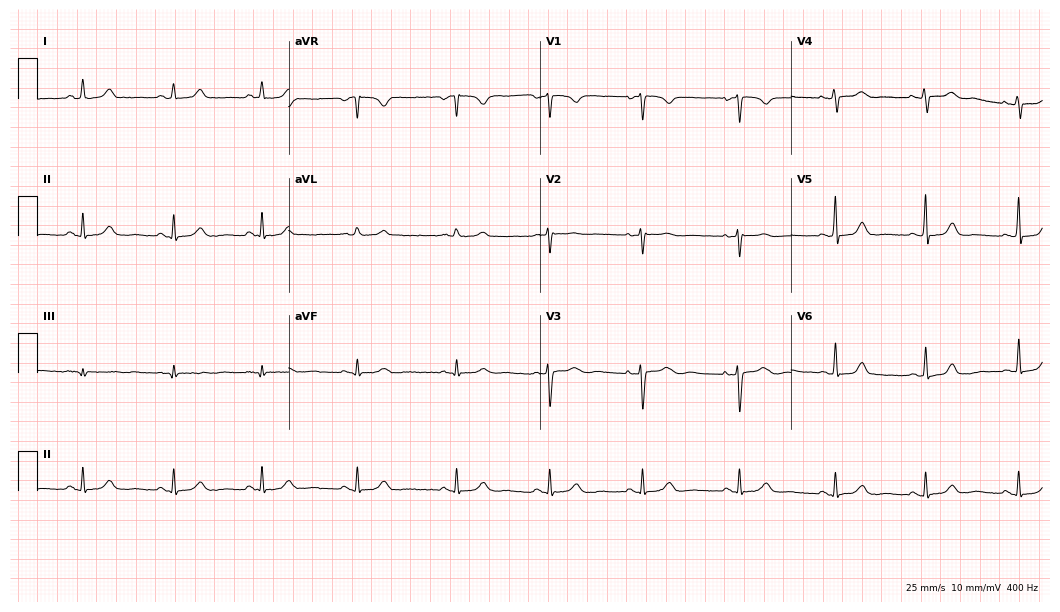
Resting 12-lead electrocardiogram (10.2-second recording at 400 Hz). Patient: a female, 40 years old. Read as a normal ECG.